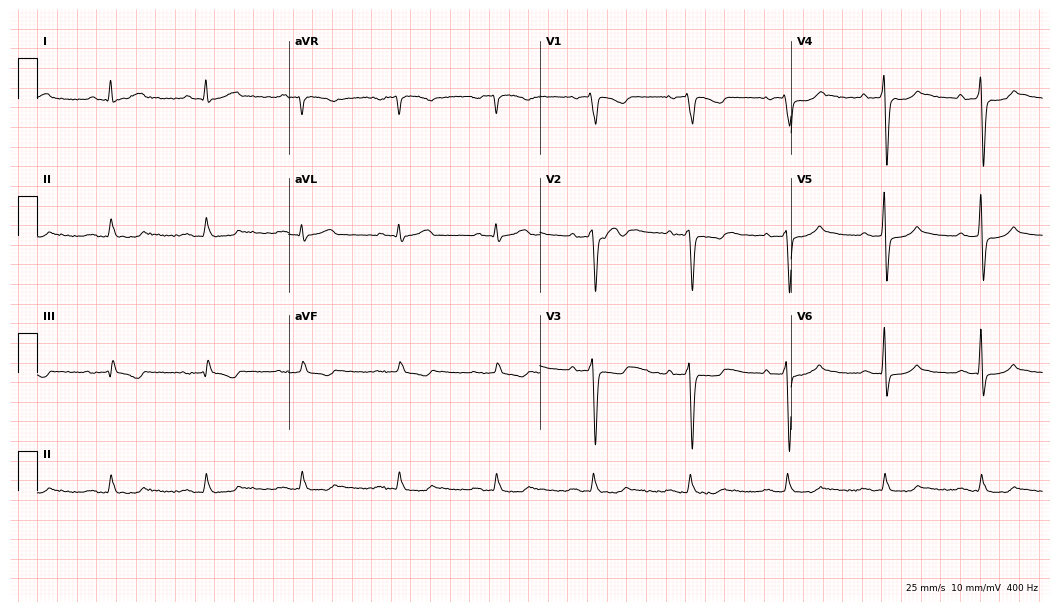
Standard 12-lead ECG recorded from a male patient, 68 years old. None of these six findings is recorded: first-degree AV block, right bundle branch block, left bundle branch block, sinus bradycardia, atrial fibrillation, sinus tachycardia. Other findings, if any, are not listed.